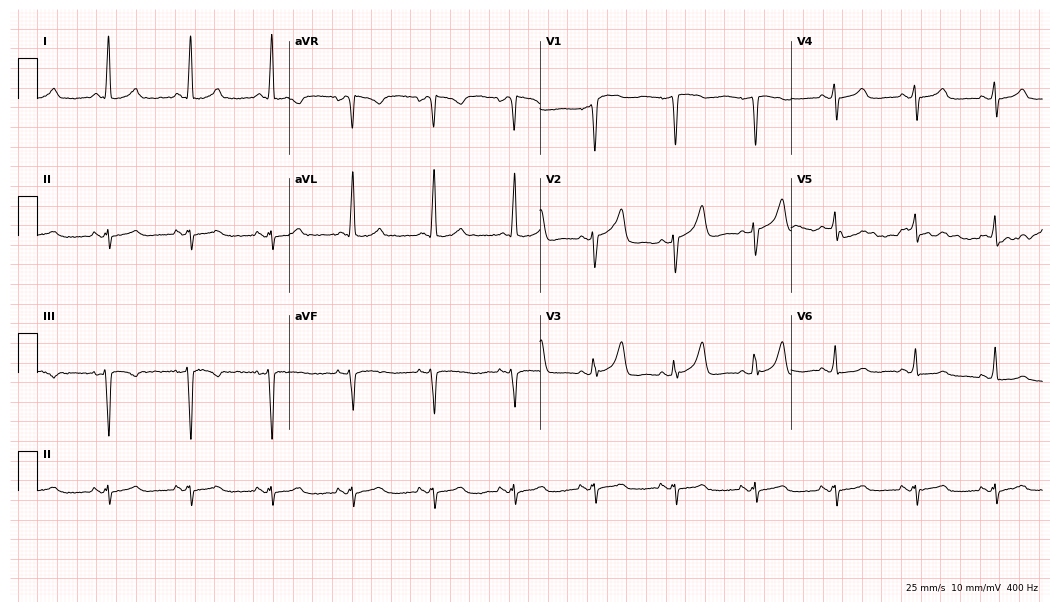
Resting 12-lead electrocardiogram (10.2-second recording at 400 Hz). Patient: a female, 72 years old. None of these six findings is recorded: first-degree AV block, right bundle branch block, left bundle branch block, sinus bradycardia, atrial fibrillation, sinus tachycardia. Other findings, if any, are not listed.